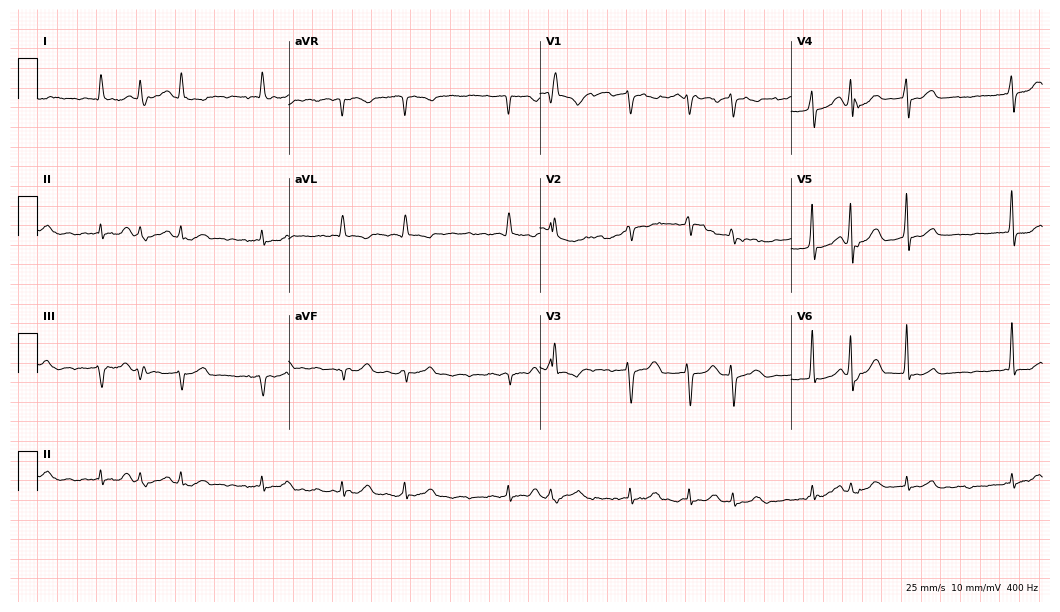
Electrocardiogram, a female patient, 77 years old. Interpretation includes atrial fibrillation.